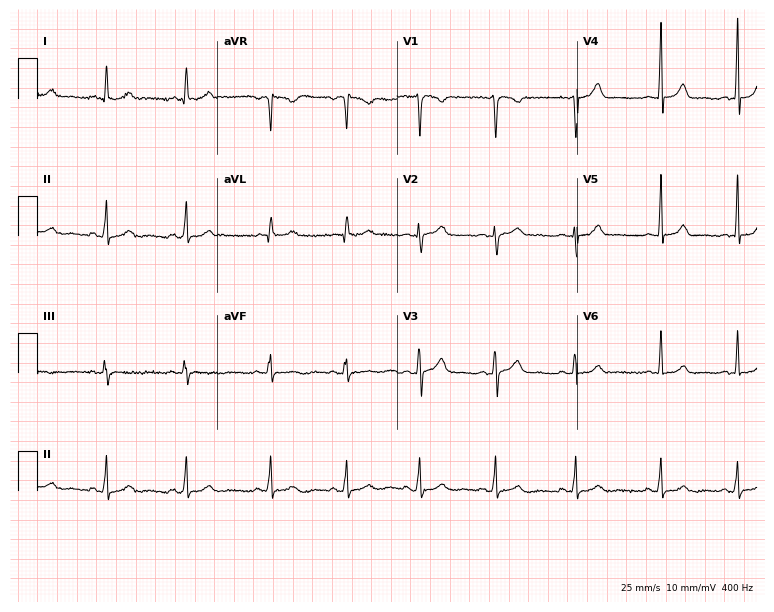
Standard 12-lead ECG recorded from a female, 27 years old. None of these six findings is recorded: first-degree AV block, right bundle branch block, left bundle branch block, sinus bradycardia, atrial fibrillation, sinus tachycardia.